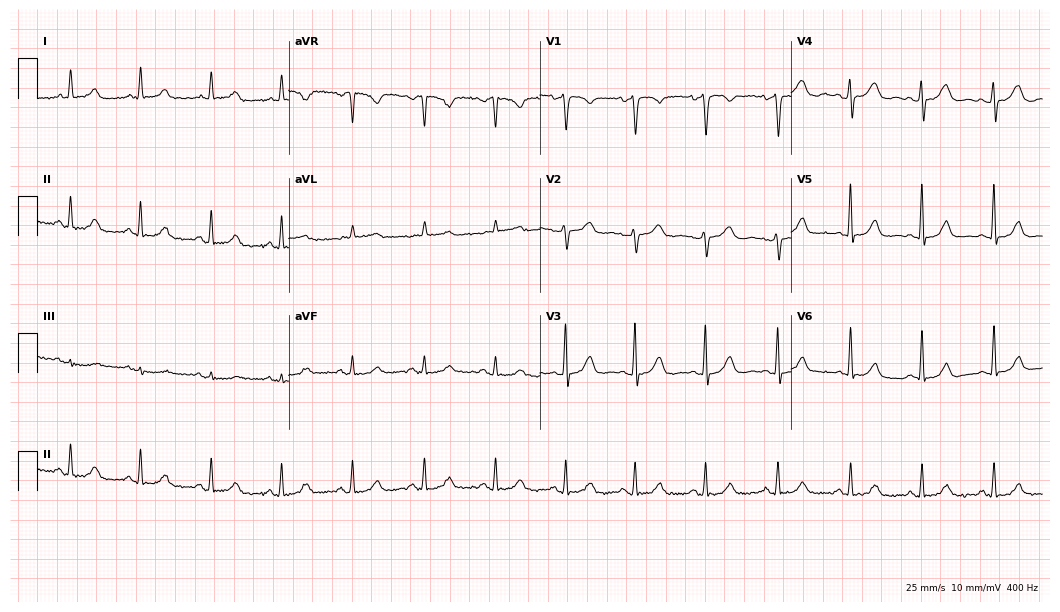
Resting 12-lead electrocardiogram. Patient: a 46-year-old woman. Read as a normal ECG.